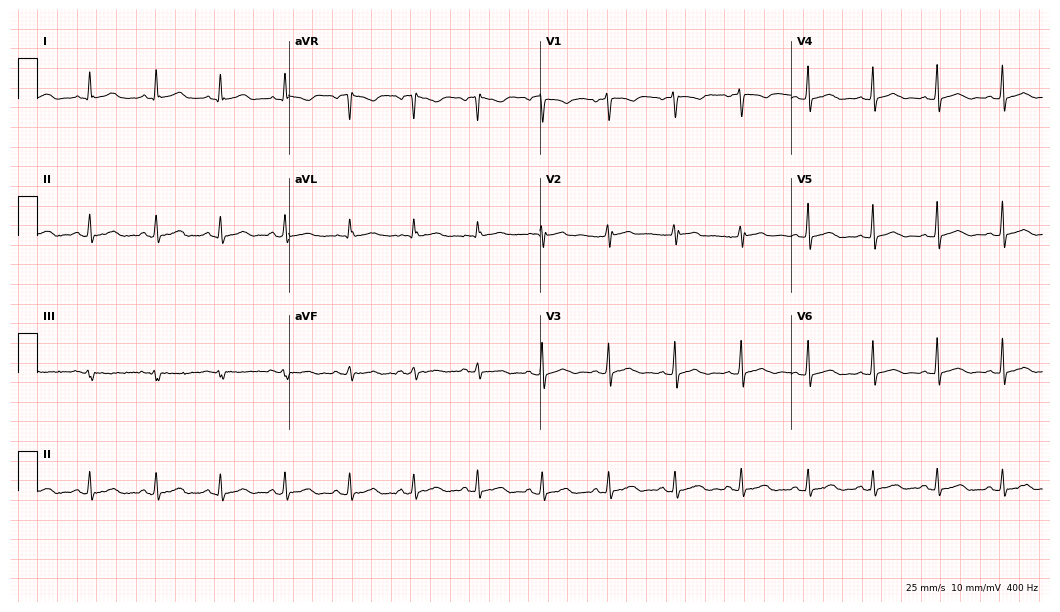
Standard 12-lead ECG recorded from a woman, 34 years old (10.2-second recording at 400 Hz). None of these six findings is recorded: first-degree AV block, right bundle branch block, left bundle branch block, sinus bradycardia, atrial fibrillation, sinus tachycardia. Only these six findings were labelled.